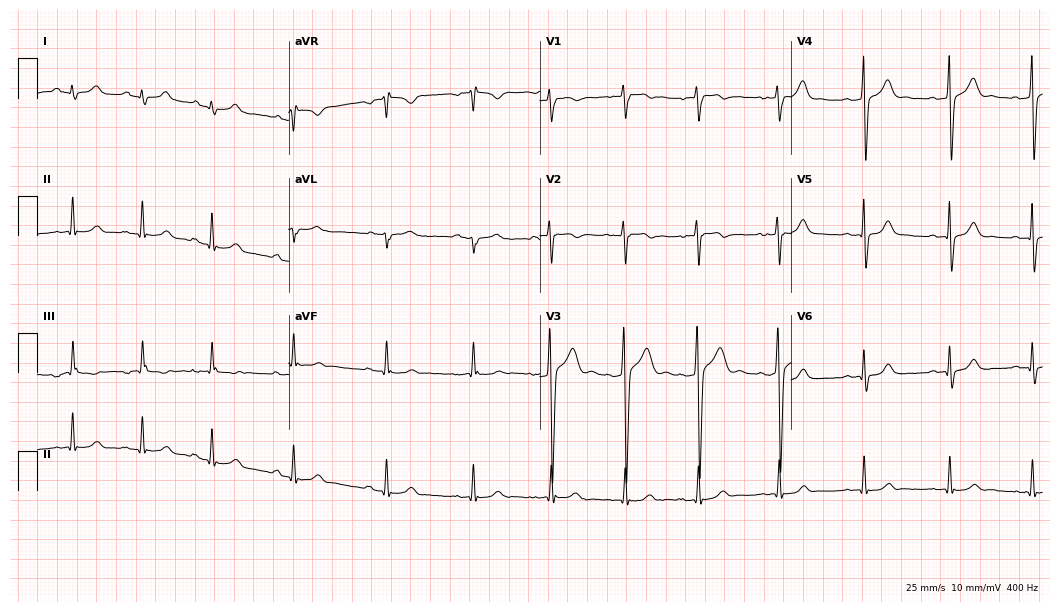
ECG — a male patient, 19 years old. Labelled as a normal ECG.